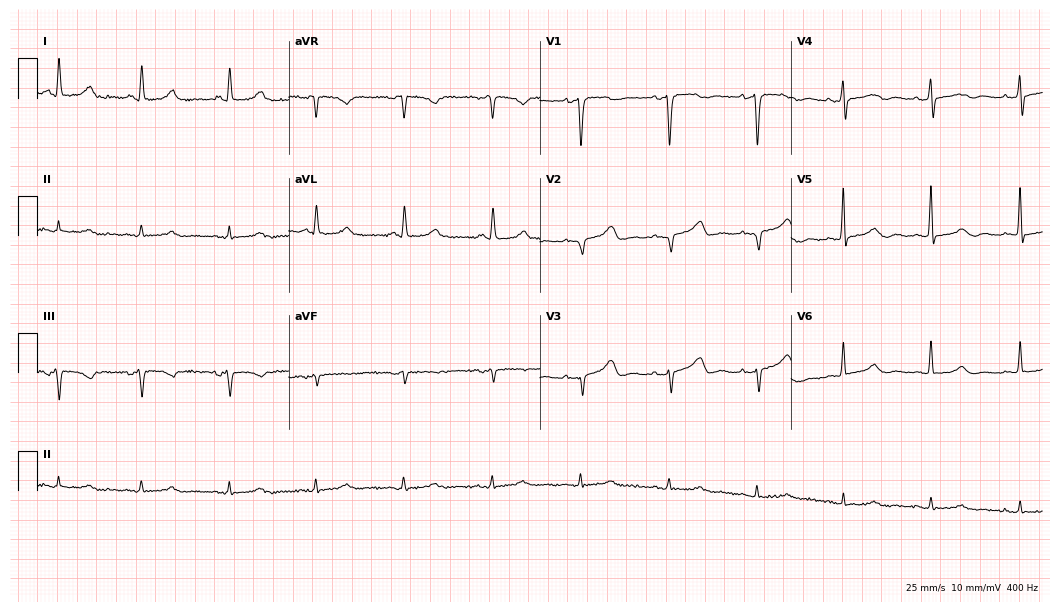
Standard 12-lead ECG recorded from a female patient, 66 years old. None of these six findings is recorded: first-degree AV block, right bundle branch block (RBBB), left bundle branch block (LBBB), sinus bradycardia, atrial fibrillation (AF), sinus tachycardia.